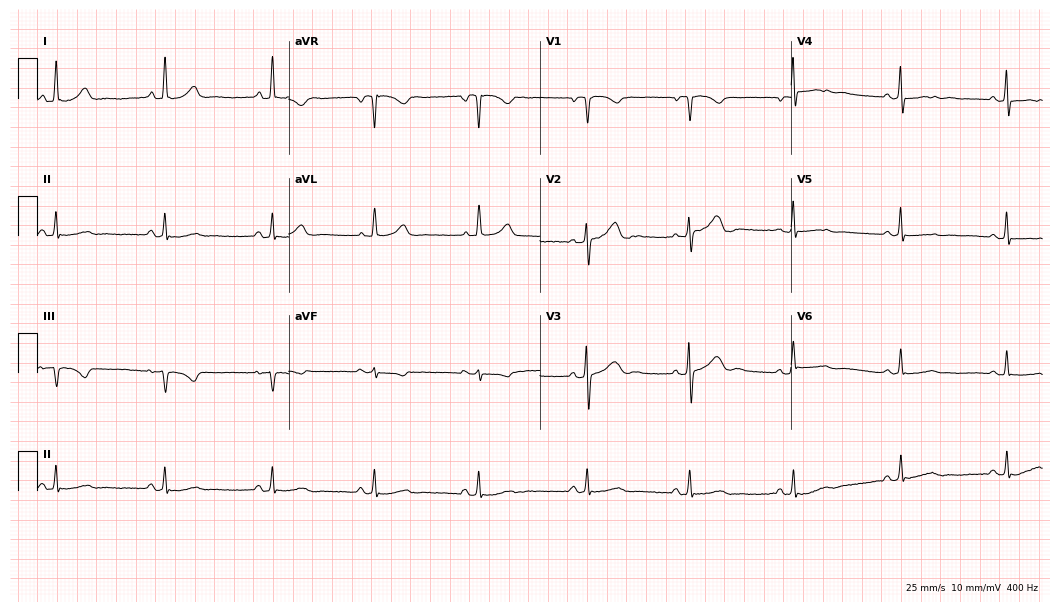
Standard 12-lead ECG recorded from a female patient, 58 years old. None of these six findings is recorded: first-degree AV block, right bundle branch block, left bundle branch block, sinus bradycardia, atrial fibrillation, sinus tachycardia. Other findings, if any, are not listed.